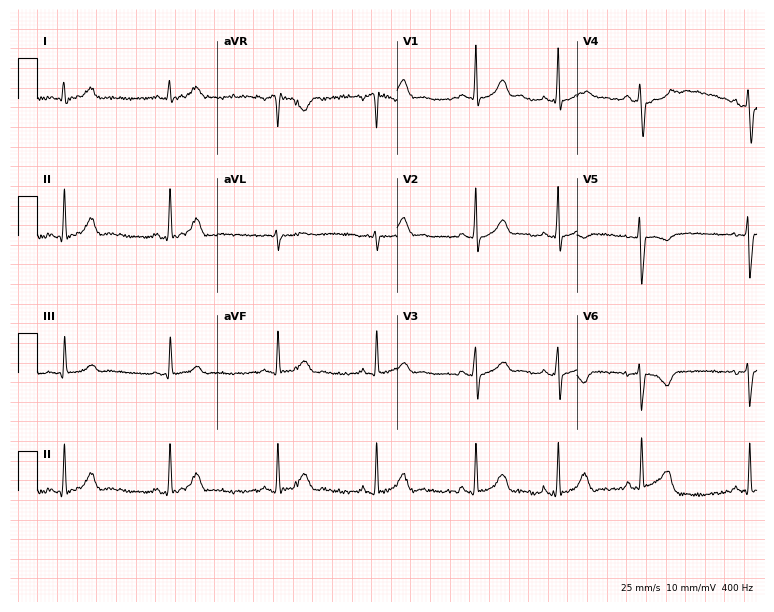
12-lead ECG from a 38-year-old woman. Screened for six findings — first-degree AV block, right bundle branch block, left bundle branch block, sinus bradycardia, atrial fibrillation, sinus tachycardia — none is recorded. Only these six findings were labelled.